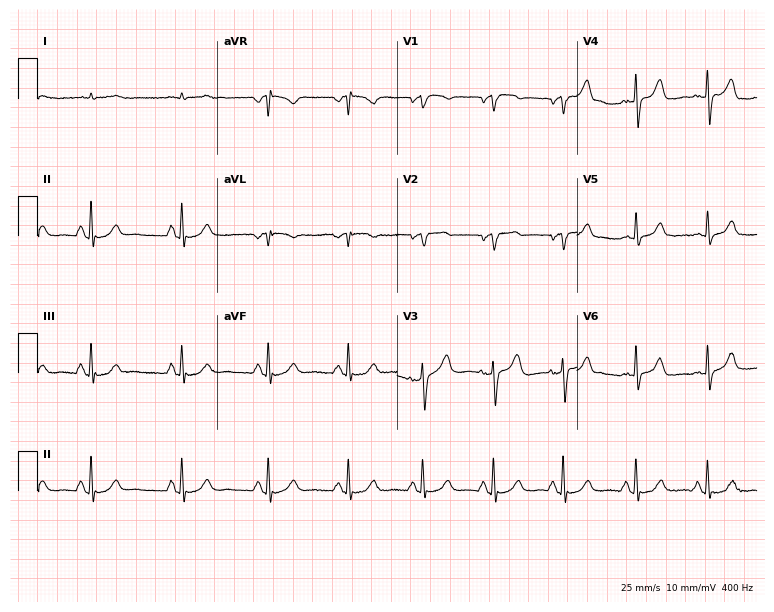
Electrocardiogram (7.3-second recording at 400 Hz), a man, 84 years old. Of the six screened findings (first-degree AV block, right bundle branch block, left bundle branch block, sinus bradycardia, atrial fibrillation, sinus tachycardia), none is recorded.